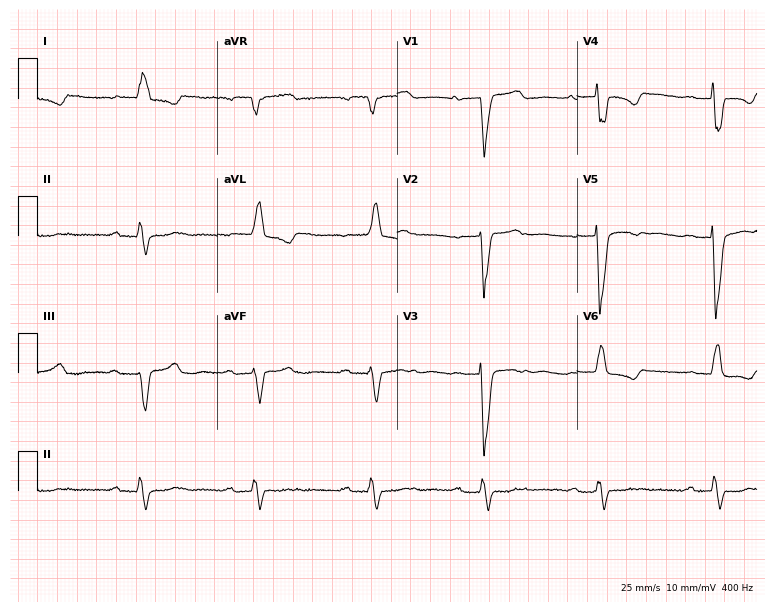
Electrocardiogram, a female, 74 years old. Interpretation includes first-degree AV block.